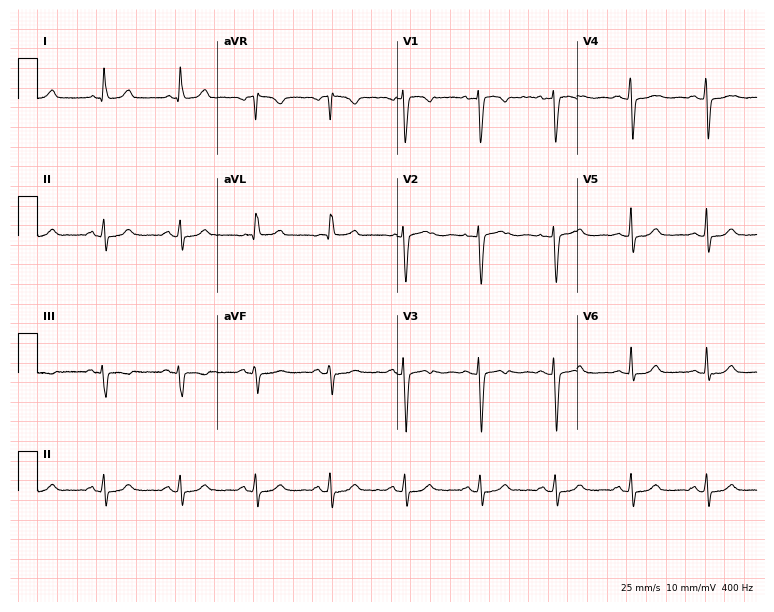
Standard 12-lead ECG recorded from a female, 37 years old (7.3-second recording at 400 Hz). None of these six findings is recorded: first-degree AV block, right bundle branch block (RBBB), left bundle branch block (LBBB), sinus bradycardia, atrial fibrillation (AF), sinus tachycardia. Only these six findings were labelled.